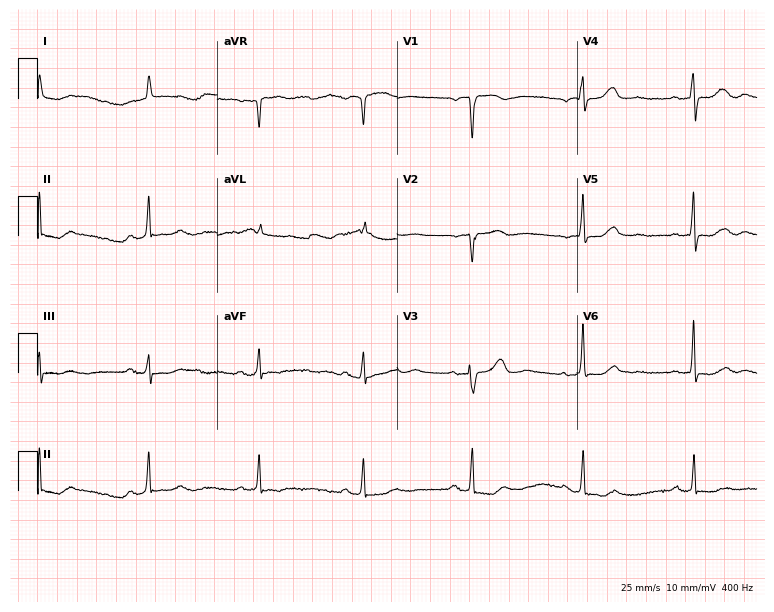
Electrocardiogram, a female, 69 years old. Of the six screened findings (first-degree AV block, right bundle branch block, left bundle branch block, sinus bradycardia, atrial fibrillation, sinus tachycardia), none is recorded. Findings outside these six are not listed.